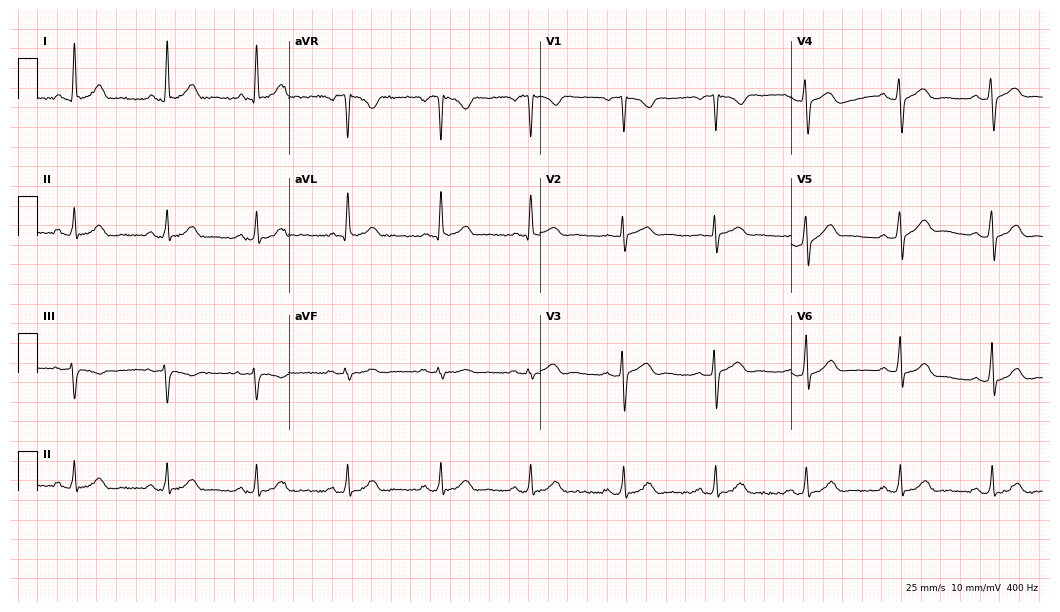
Standard 12-lead ECG recorded from a 39-year-old man. Read as a normal ECG.